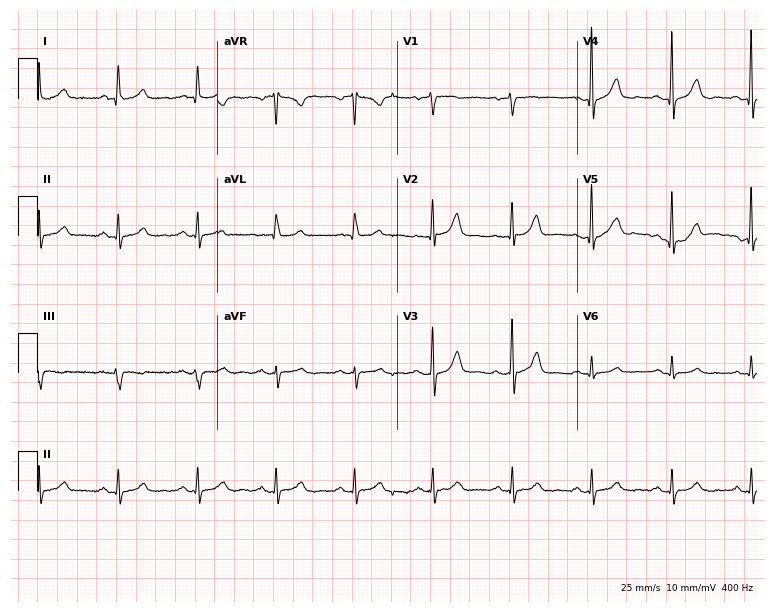
Electrocardiogram (7.3-second recording at 400 Hz), a female, 66 years old. Overall reading on record: normal ECG.